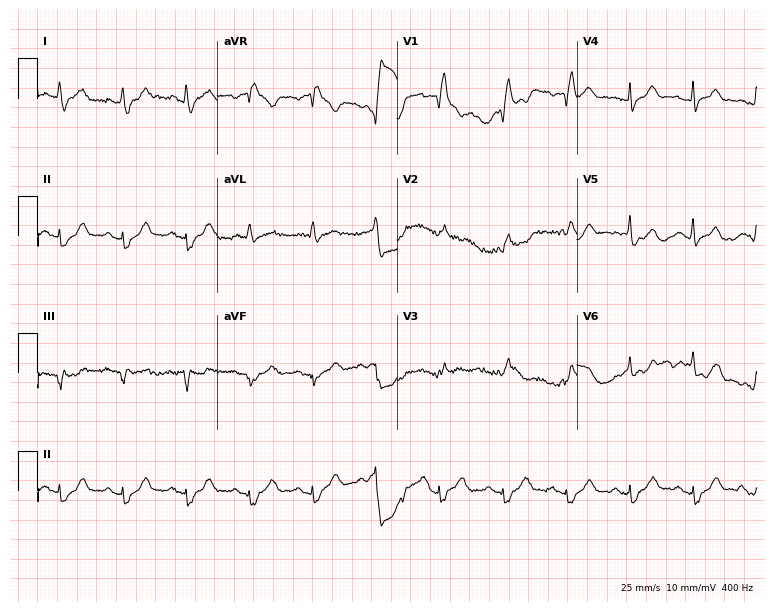
Electrocardiogram (7.3-second recording at 400 Hz), a man, 68 years old. Of the six screened findings (first-degree AV block, right bundle branch block (RBBB), left bundle branch block (LBBB), sinus bradycardia, atrial fibrillation (AF), sinus tachycardia), none is recorded.